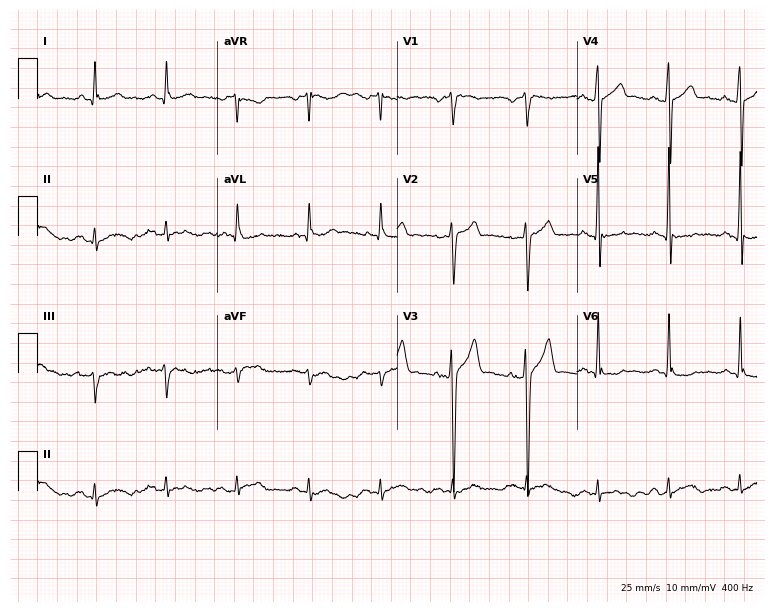
Electrocardiogram (7.3-second recording at 400 Hz), a male, 44 years old. Of the six screened findings (first-degree AV block, right bundle branch block, left bundle branch block, sinus bradycardia, atrial fibrillation, sinus tachycardia), none is recorded.